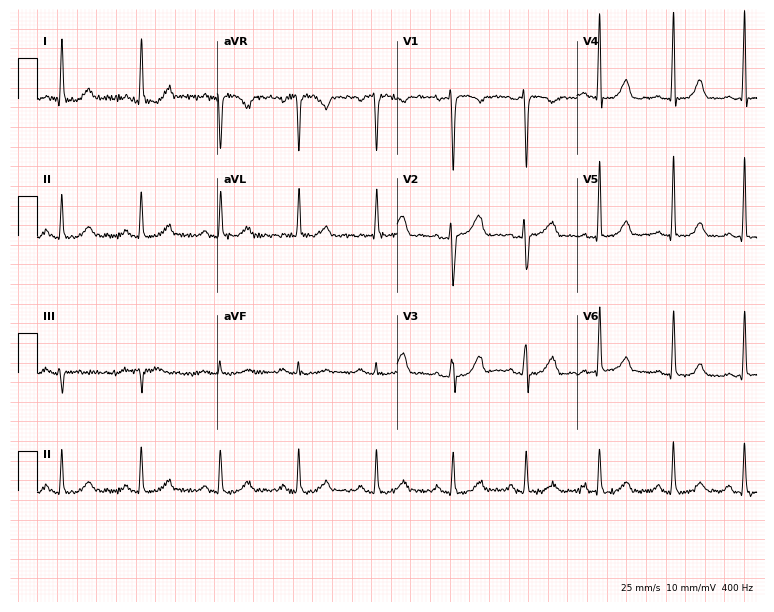
Electrocardiogram (7.3-second recording at 400 Hz), a woman, 40 years old. Of the six screened findings (first-degree AV block, right bundle branch block, left bundle branch block, sinus bradycardia, atrial fibrillation, sinus tachycardia), none is recorded. Only these six findings were labelled.